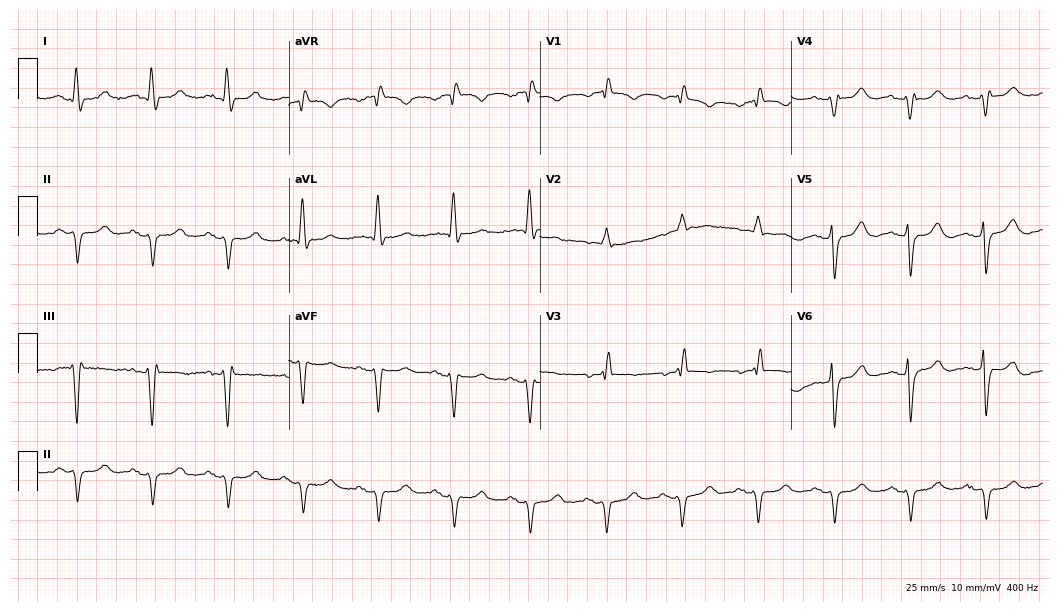
ECG — a female patient, 63 years old. Screened for six findings — first-degree AV block, right bundle branch block (RBBB), left bundle branch block (LBBB), sinus bradycardia, atrial fibrillation (AF), sinus tachycardia — none is recorded. Other findings, if any, are not listed.